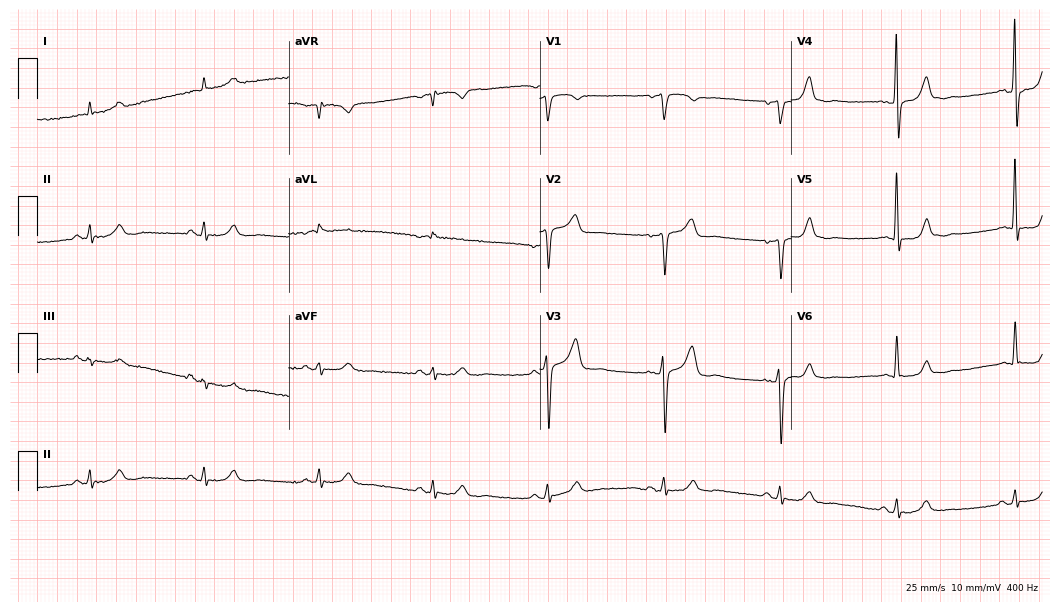
Electrocardiogram (10.2-second recording at 400 Hz), a 64-year-old male. Of the six screened findings (first-degree AV block, right bundle branch block, left bundle branch block, sinus bradycardia, atrial fibrillation, sinus tachycardia), none is recorded. Only these six findings were labelled.